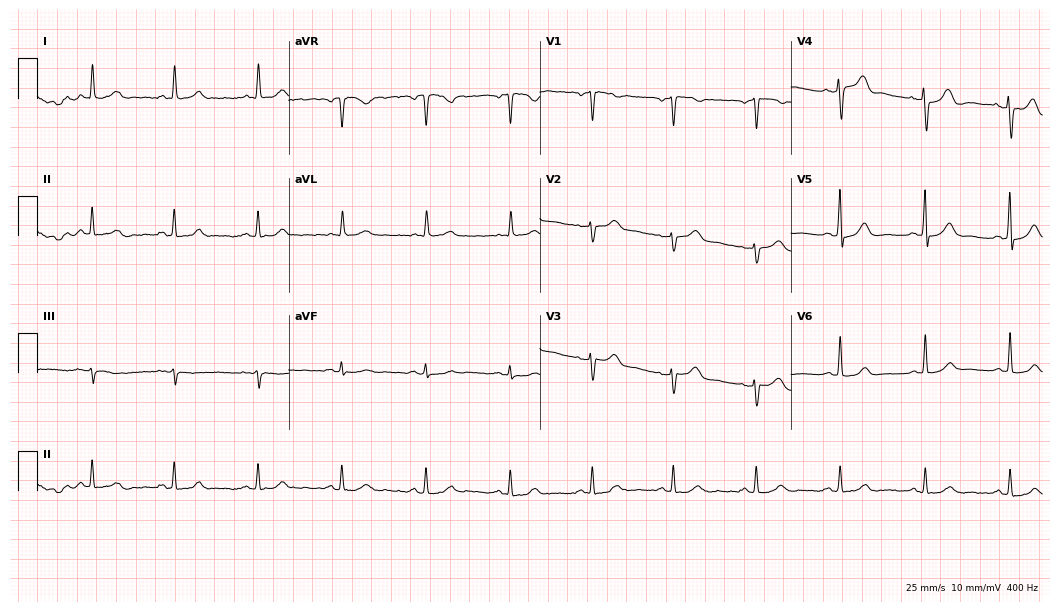
Resting 12-lead electrocardiogram. Patient: a woman, 69 years old. None of these six findings is recorded: first-degree AV block, right bundle branch block (RBBB), left bundle branch block (LBBB), sinus bradycardia, atrial fibrillation (AF), sinus tachycardia.